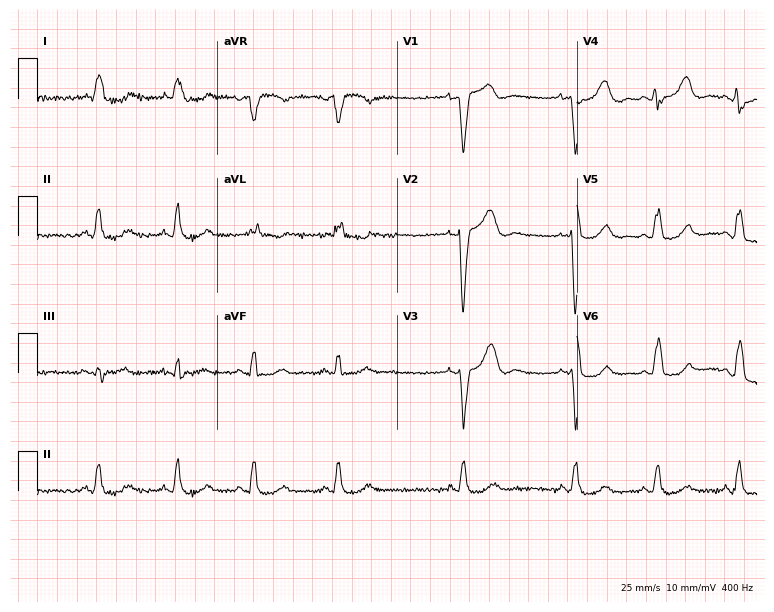
12-lead ECG from an 82-year-old woman. Findings include left bundle branch block.